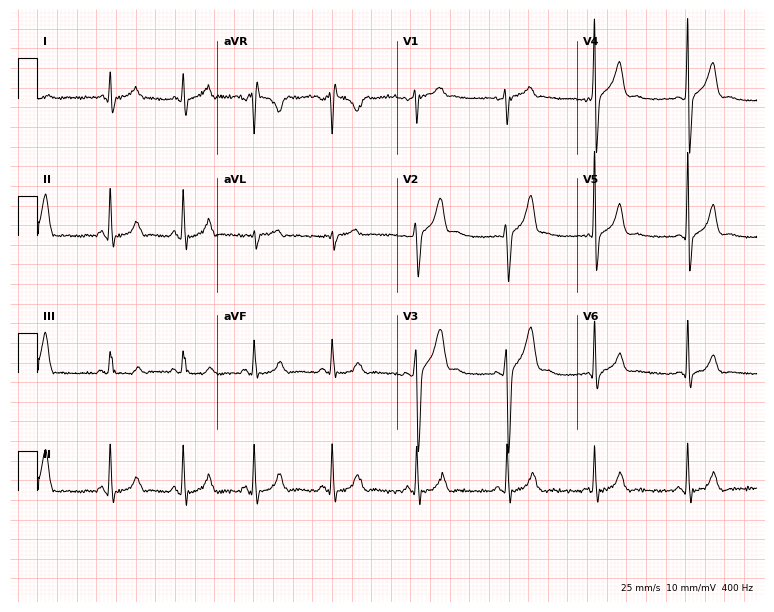
Resting 12-lead electrocardiogram. Patient: a male, 34 years old. Read as a normal ECG.